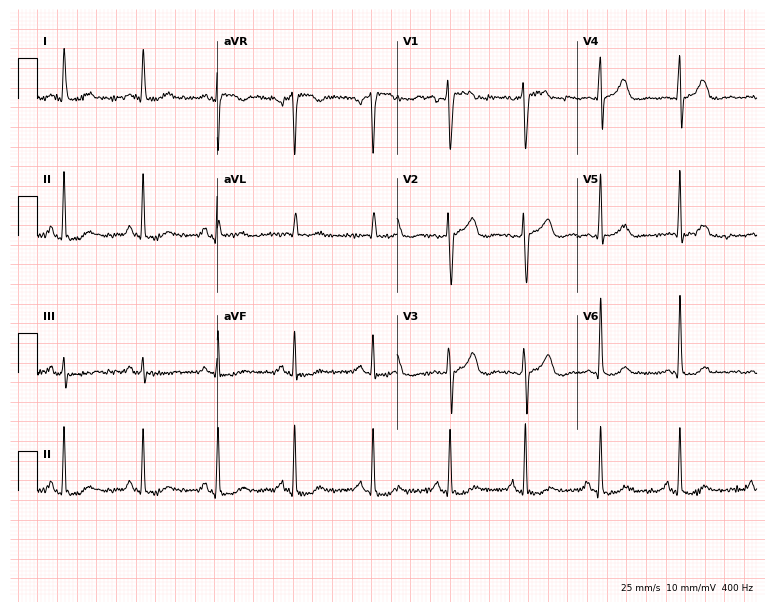
12-lead ECG from a female, 55 years old (7.3-second recording at 400 Hz). Recorded interpretation: within normal limits.